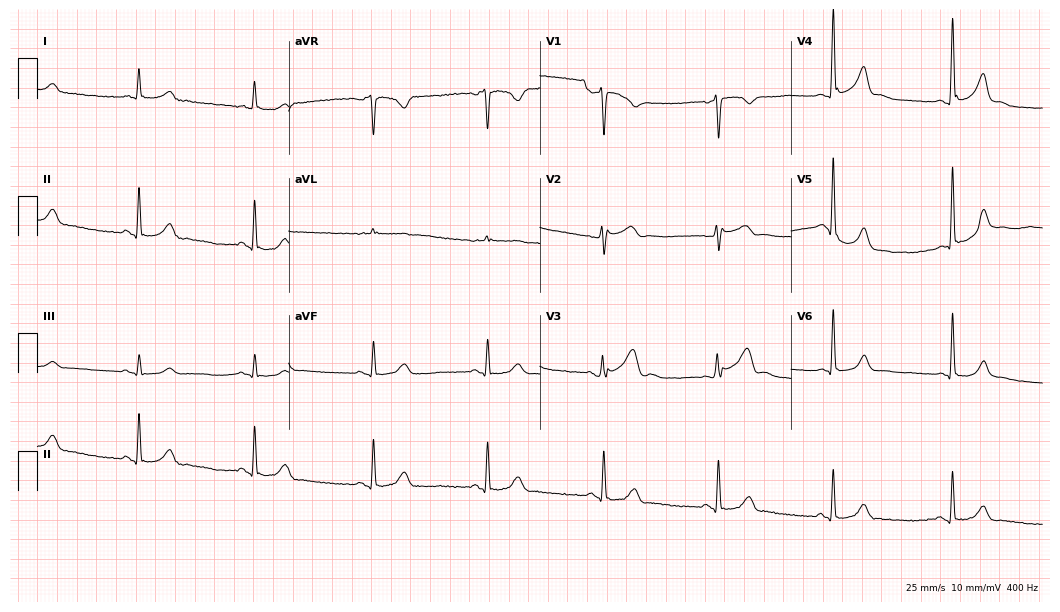
Resting 12-lead electrocardiogram. Patient: a 52-year-old man. None of these six findings is recorded: first-degree AV block, right bundle branch block, left bundle branch block, sinus bradycardia, atrial fibrillation, sinus tachycardia. Only these six findings were labelled.